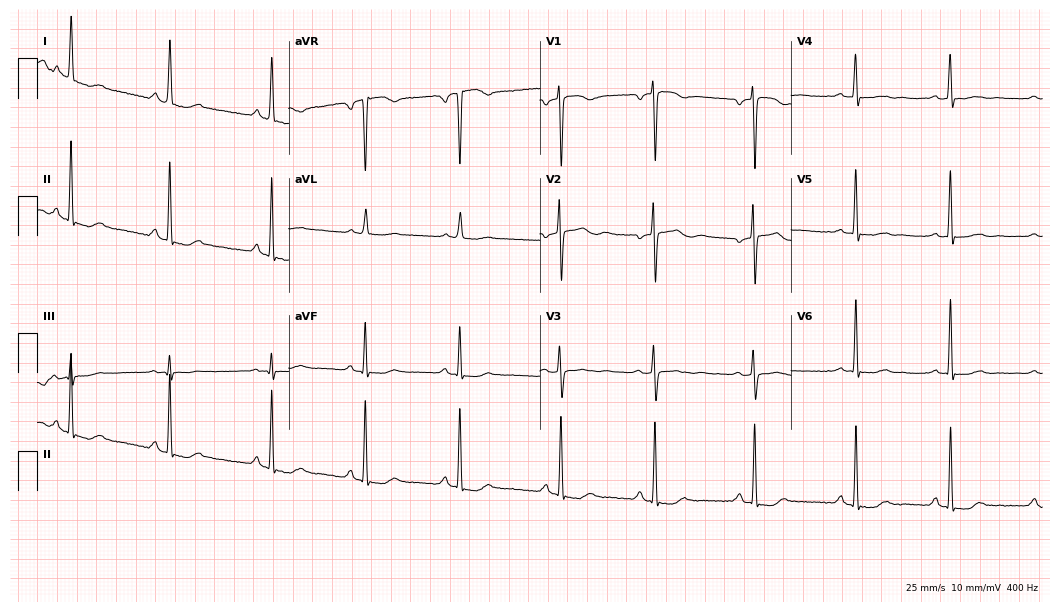
Standard 12-lead ECG recorded from a 58-year-old woman (10.2-second recording at 400 Hz). None of these six findings is recorded: first-degree AV block, right bundle branch block, left bundle branch block, sinus bradycardia, atrial fibrillation, sinus tachycardia. Other findings, if any, are not listed.